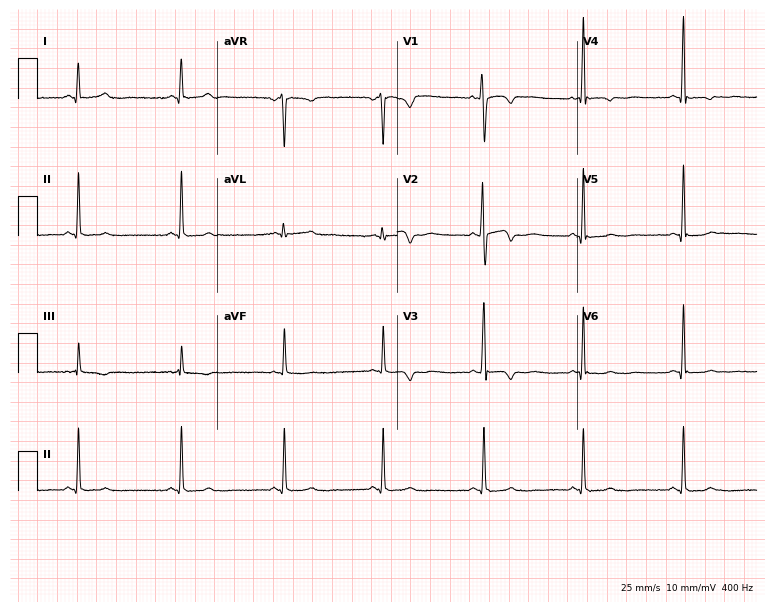
Resting 12-lead electrocardiogram. Patient: a woman, 30 years old. None of these six findings is recorded: first-degree AV block, right bundle branch block (RBBB), left bundle branch block (LBBB), sinus bradycardia, atrial fibrillation (AF), sinus tachycardia.